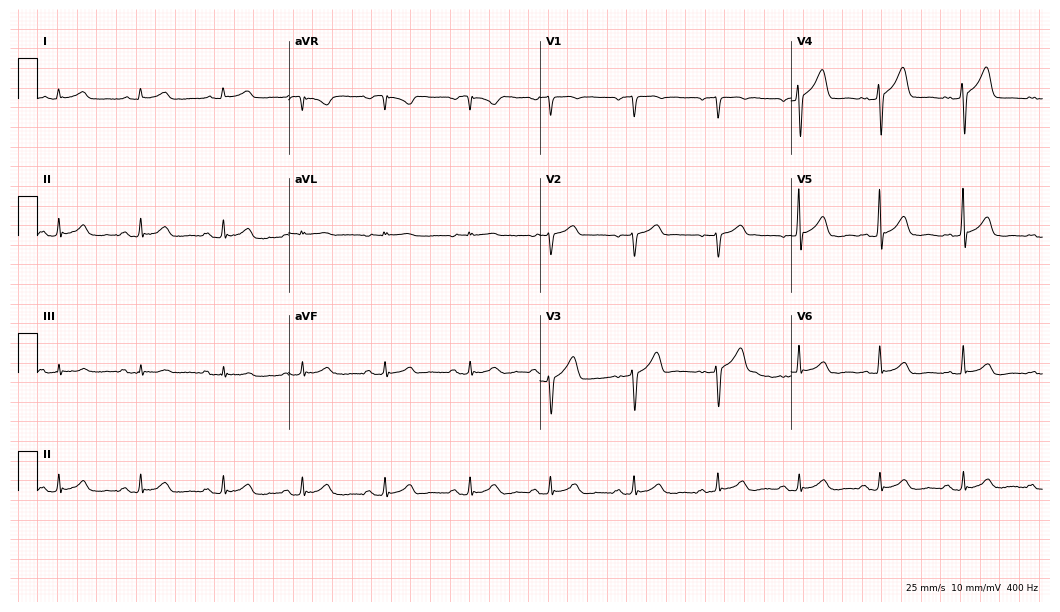
Resting 12-lead electrocardiogram (10.2-second recording at 400 Hz). Patient: a male, 54 years old. Read as a normal ECG.